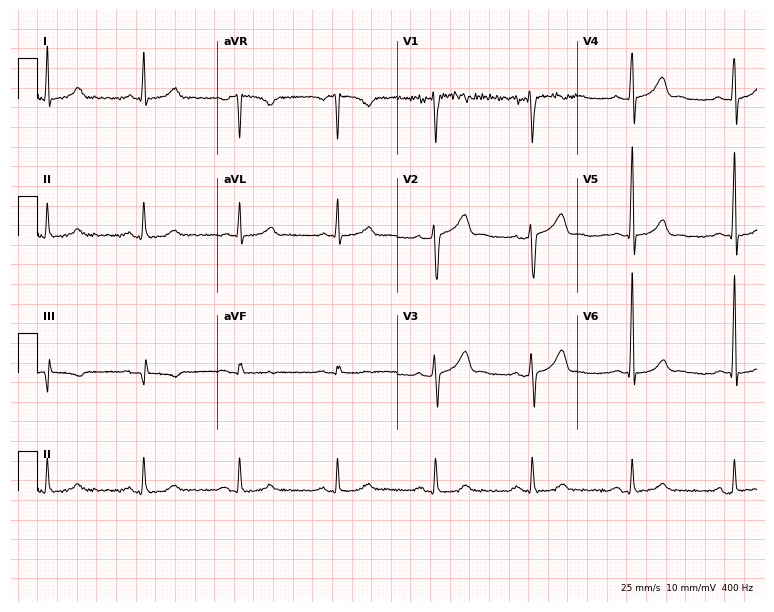
12-lead ECG from a 42-year-old male patient. Labelled as a normal ECG.